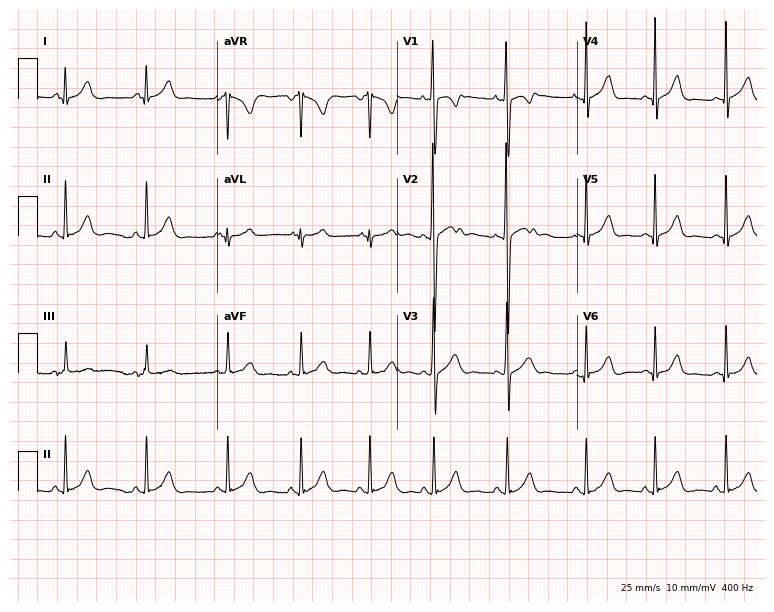
ECG — an 18-year-old woman. Labelled as a normal ECG.